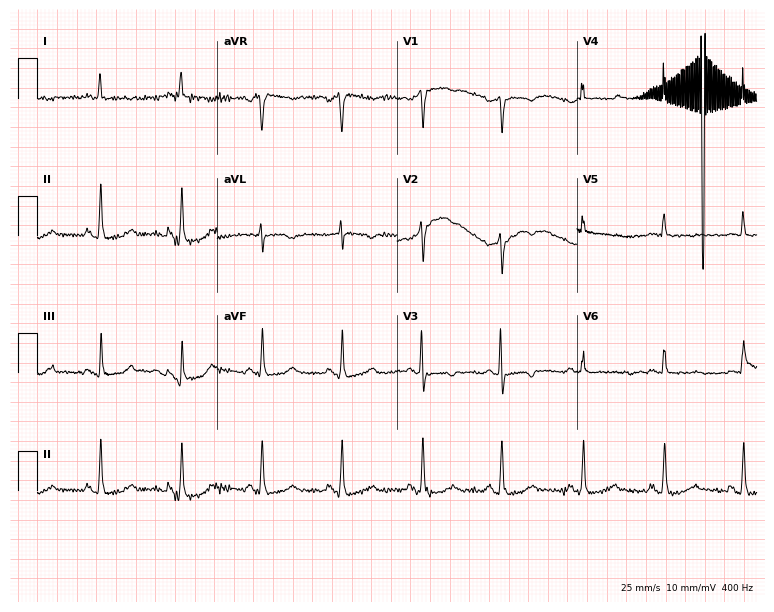
ECG — a female patient, 79 years old. Screened for six findings — first-degree AV block, right bundle branch block, left bundle branch block, sinus bradycardia, atrial fibrillation, sinus tachycardia — none is recorded. Only these six findings were labelled.